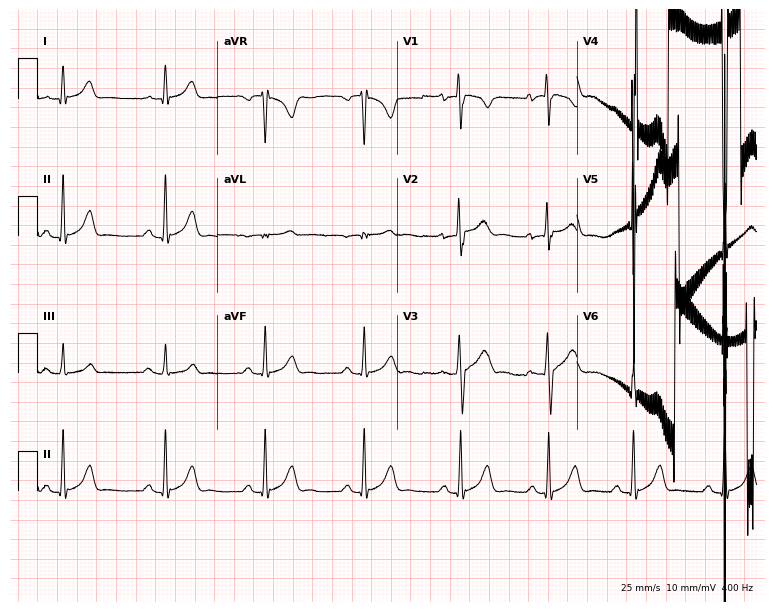
Standard 12-lead ECG recorded from a 21-year-old male patient. Read as a normal ECG.